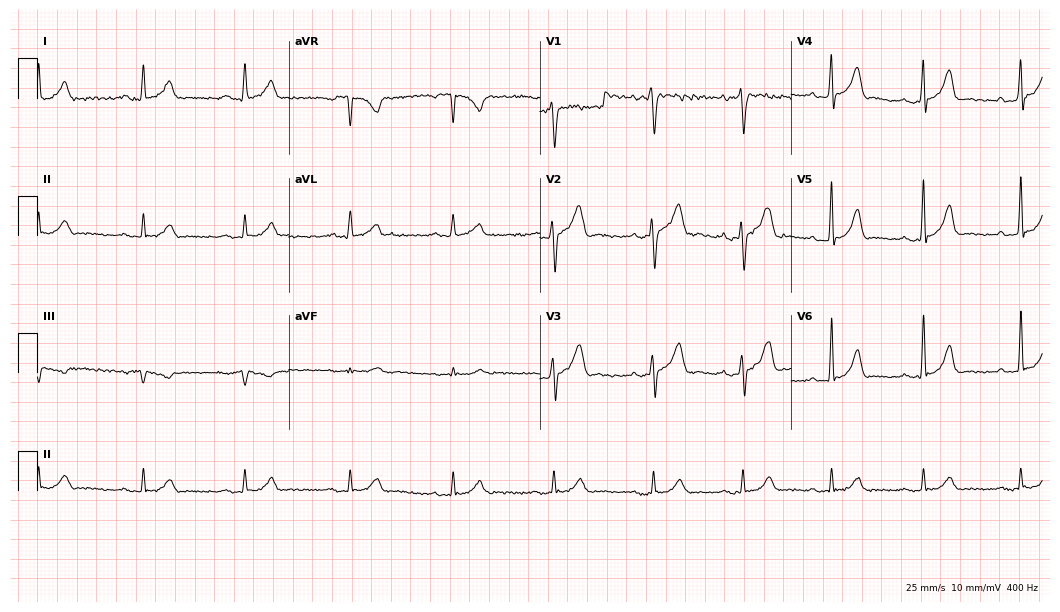
12-lead ECG from a 38-year-old man. No first-degree AV block, right bundle branch block, left bundle branch block, sinus bradycardia, atrial fibrillation or sinus tachycardia recorded for this tracing.